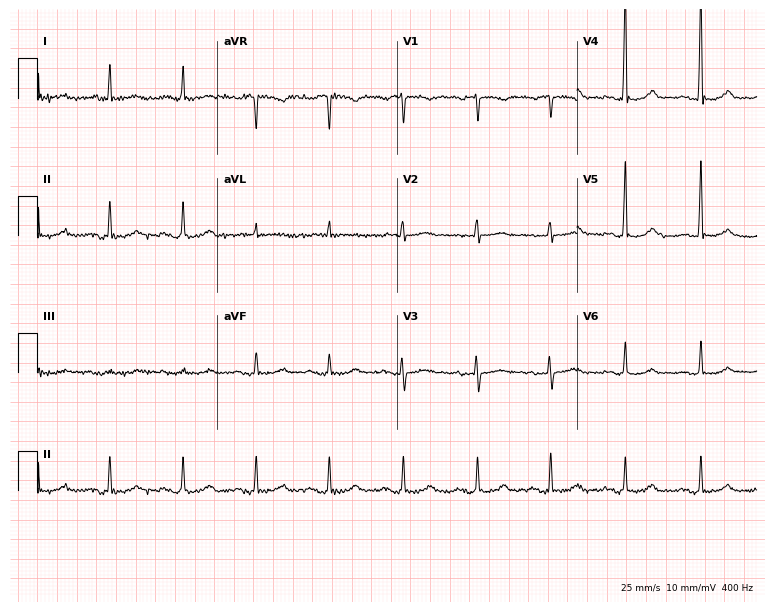
Resting 12-lead electrocardiogram. Patient: a 65-year-old female. Read as a normal ECG.